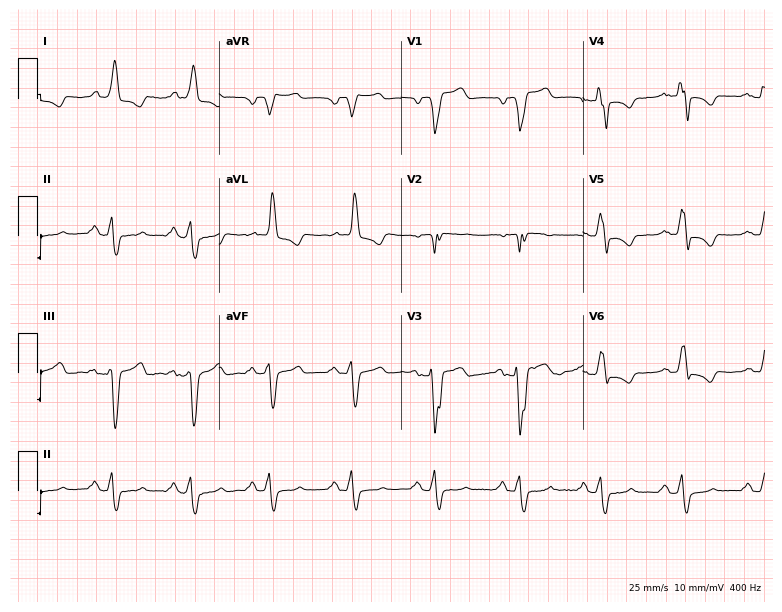
12-lead ECG from a male patient, 67 years old. Findings include left bundle branch block.